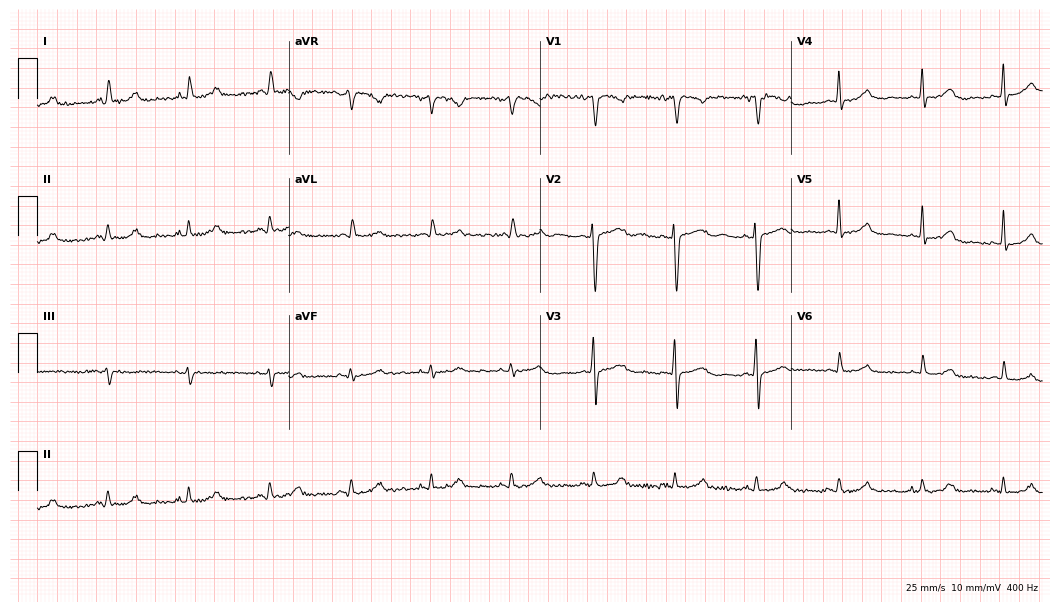
Standard 12-lead ECG recorded from a woman, 44 years old. Read as a normal ECG.